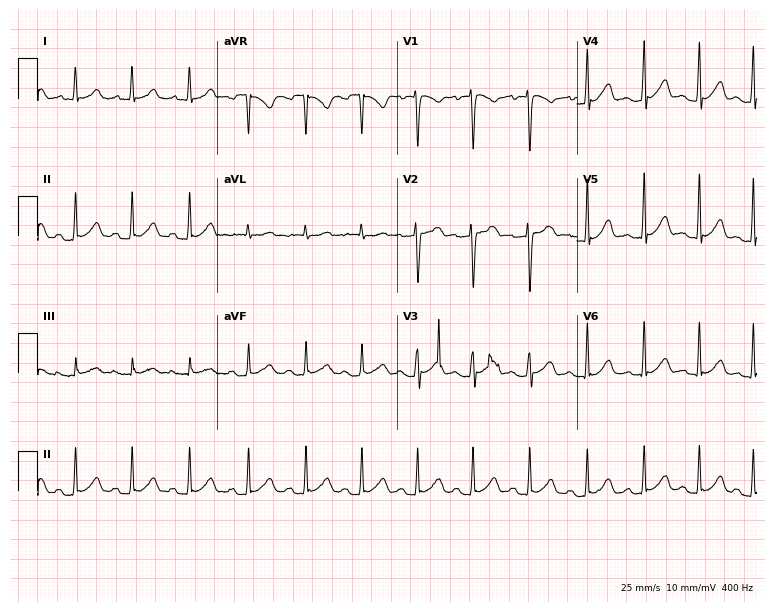
12-lead ECG from a 30-year-old female (7.3-second recording at 400 Hz). Shows sinus tachycardia (a sinus rate of 100 beats per minute or more).